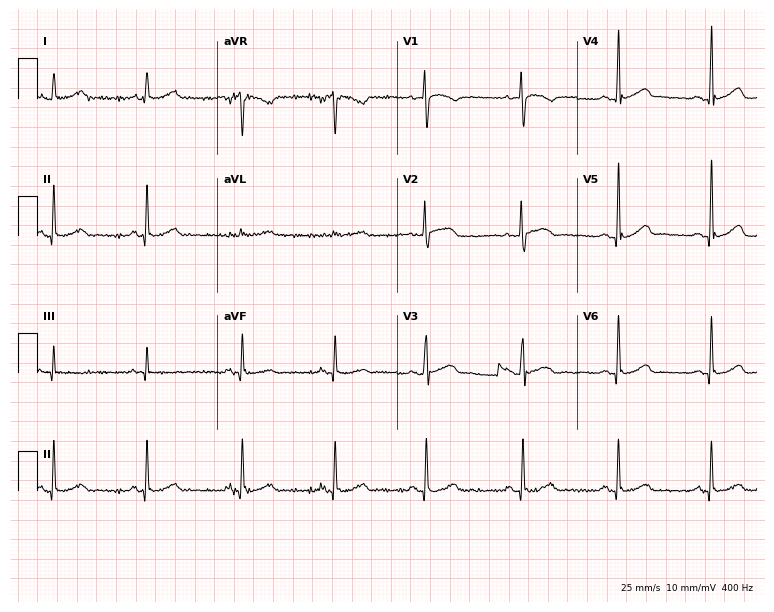
ECG — a 33-year-old woman. Labelled as a normal ECG.